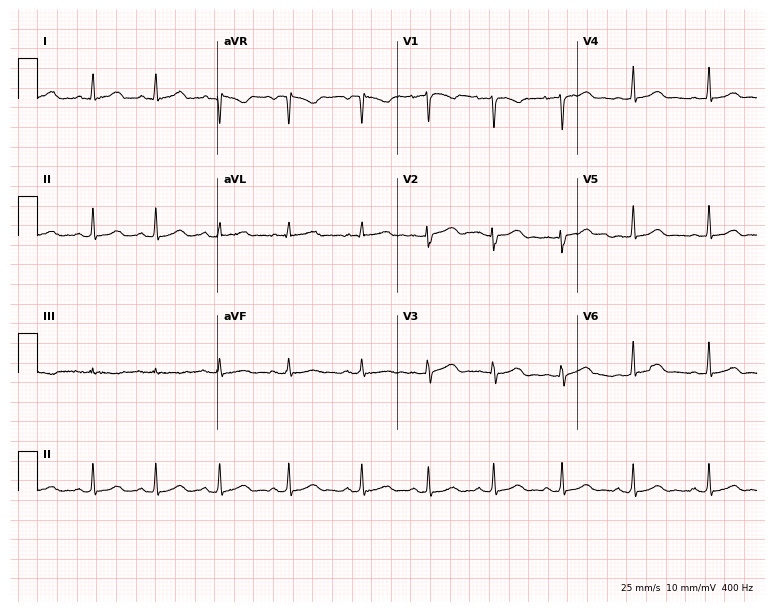
Electrocardiogram (7.3-second recording at 400 Hz), a female patient, 36 years old. Overall reading on record: normal ECG.